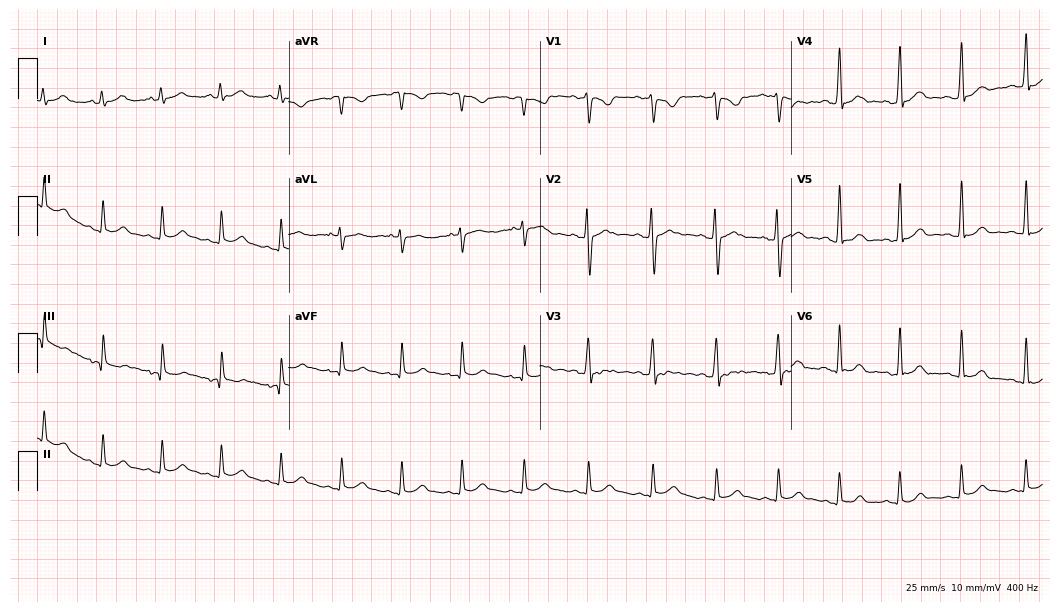
ECG (10.2-second recording at 400 Hz) — a male, 22 years old. Screened for six findings — first-degree AV block, right bundle branch block, left bundle branch block, sinus bradycardia, atrial fibrillation, sinus tachycardia — none is recorded. Other findings, if any, are not listed.